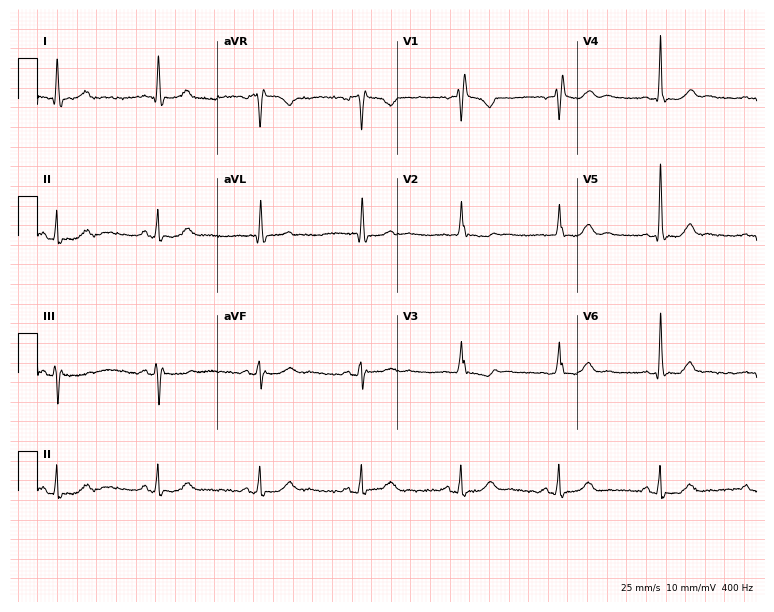
12-lead ECG from a female, 67 years old (7.3-second recording at 400 Hz). No first-degree AV block, right bundle branch block, left bundle branch block, sinus bradycardia, atrial fibrillation or sinus tachycardia recorded for this tracing.